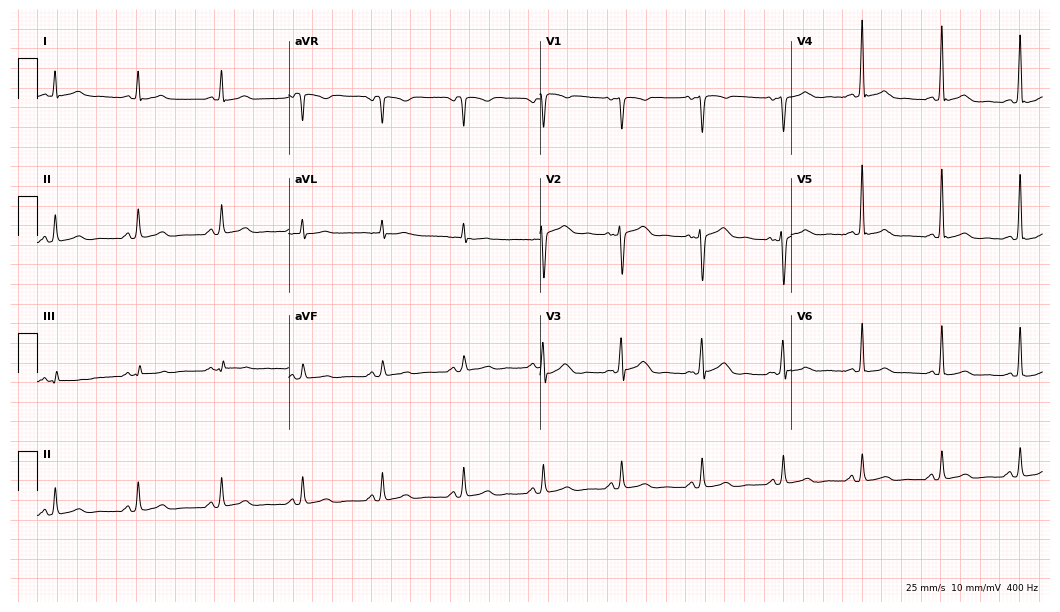
Electrocardiogram, a 42-year-old female patient. Overall reading on record: normal ECG.